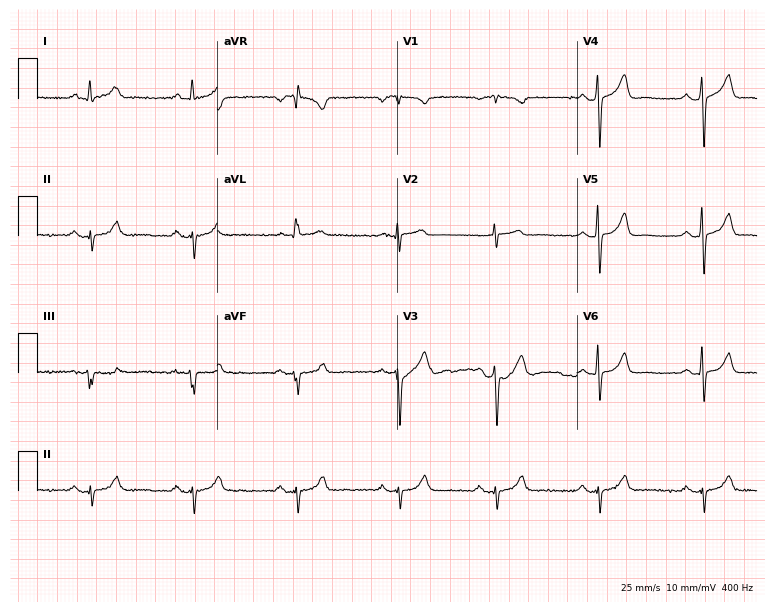
Resting 12-lead electrocardiogram (7.3-second recording at 400 Hz). Patient: a 55-year-old male. None of these six findings is recorded: first-degree AV block, right bundle branch block, left bundle branch block, sinus bradycardia, atrial fibrillation, sinus tachycardia.